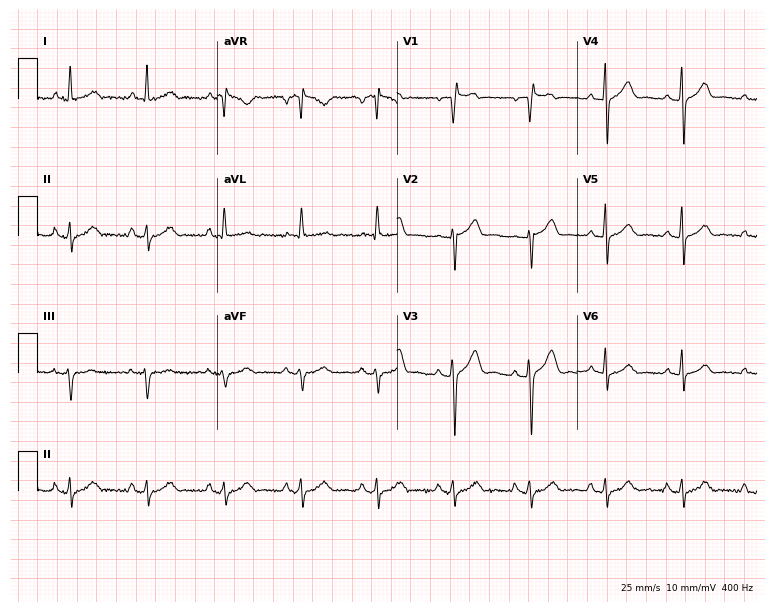
Resting 12-lead electrocardiogram. Patient: a male, 64 years old. Read as a normal ECG.